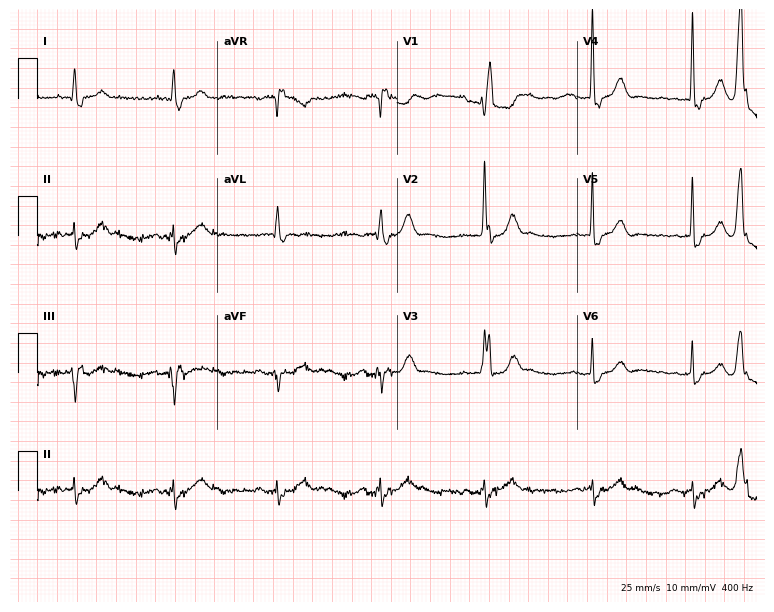
Electrocardiogram, an 85-year-old male patient. Interpretation includes right bundle branch block.